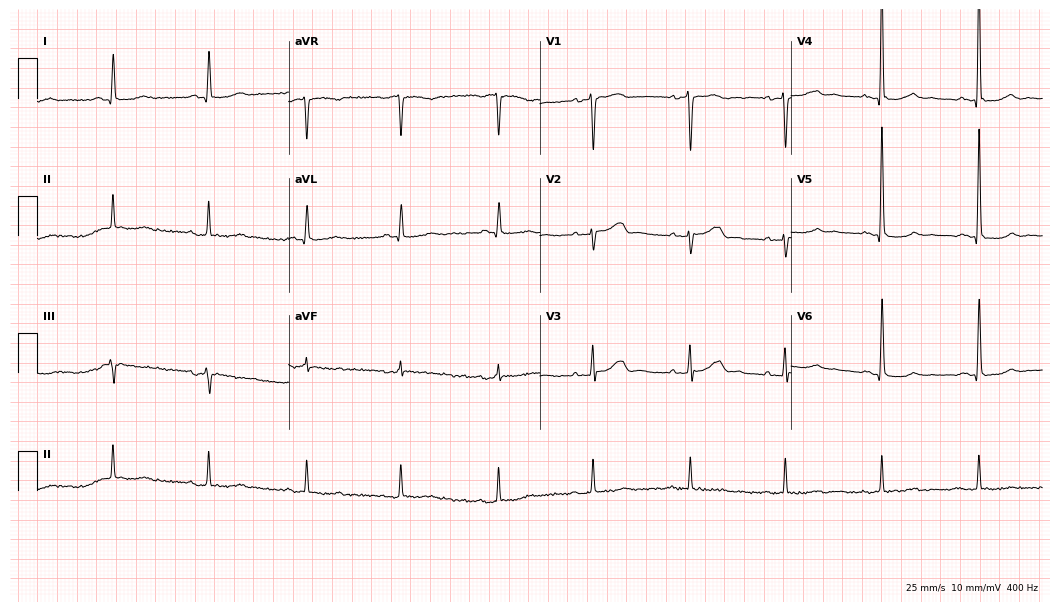
12-lead ECG from an 81-year-old female patient (10.2-second recording at 400 Hz). No first-degree AV block, right bundle branch block (RBBB), left bundle branch block (LBBB), sinus bradycardia, atrial fibrillation (AF) or sinus tachycardia recorded for this tracing.